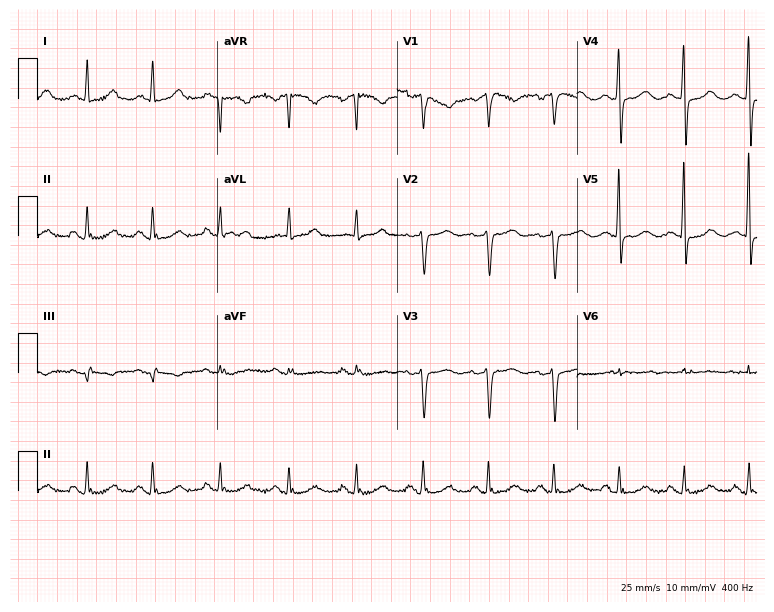
12-lead ECG from a female, 71 years old. No first-degree AV block, right bundle branch block, left bundle branch block, sinus bradycardia, atrial fibrillation or sinus tachycardia recorded for this tracing.